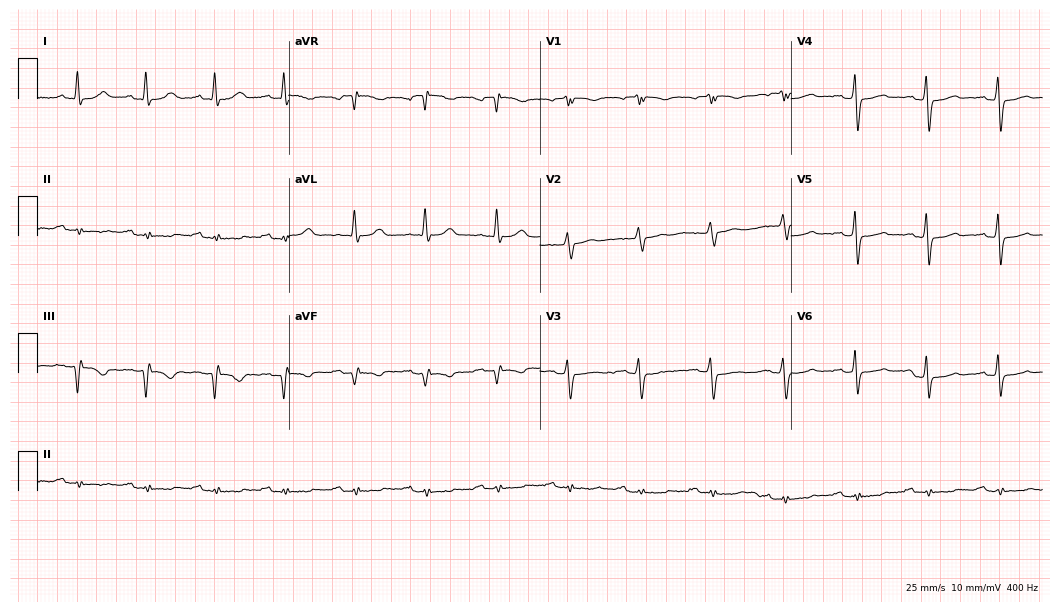
ECG (10.2-second recording at 400 Hz) — a male, 78 years old. Screened for six findings — first-degree AV block, right bundle branch block (RBBB), left bundle branch block (LBBB), sinus bradycardia, atrial fibrillation (AF), sinus tachycardia — none is recorded. Findings outside these six are not listed.